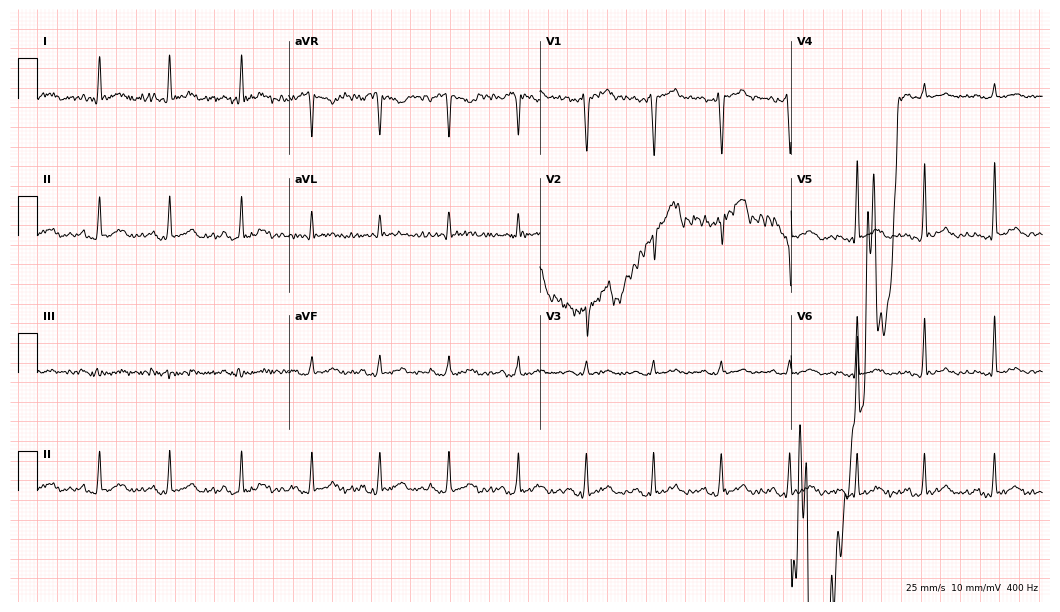
Standard 12-lead ECG recorded from a male patient, 32 years old (10.2-second recording at 400 Hz). None of these six findings is recorded: first-degree AV block, right bundle branch block, left bundle branch block, sinus bradycardia, atrial fibrillation, sinus tachycardia. Findings outside these six are not listed.